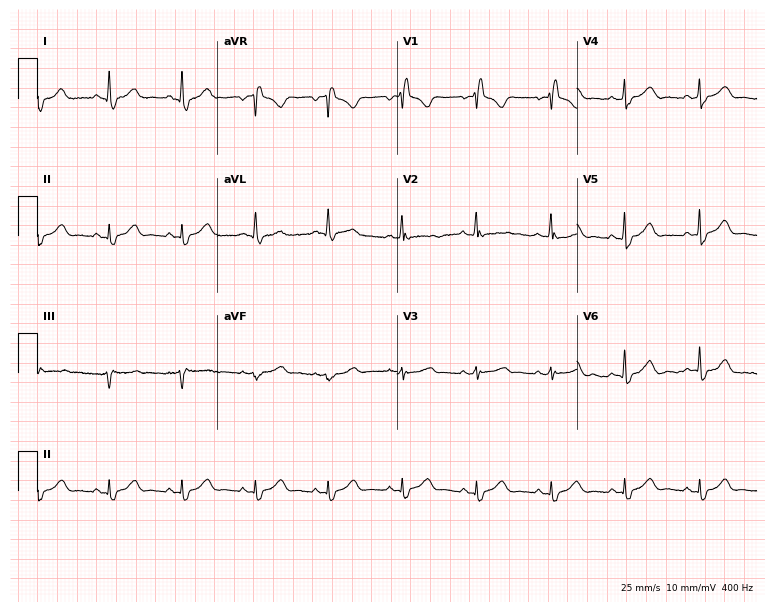
Electrocardiogram, a female, 61 years old. Interpretation includes right bundle branch block (RBBB).